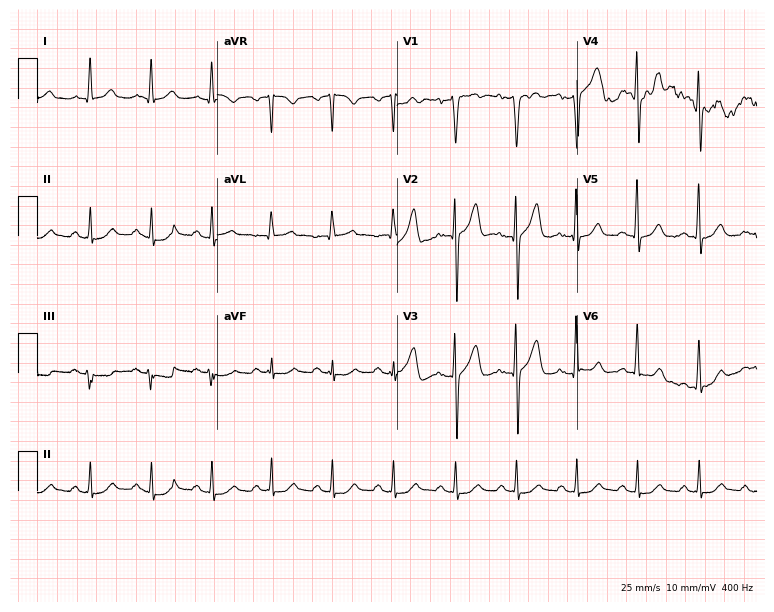
12-lead ECG from a 64-year-old male. Labelled as a normal ECG.